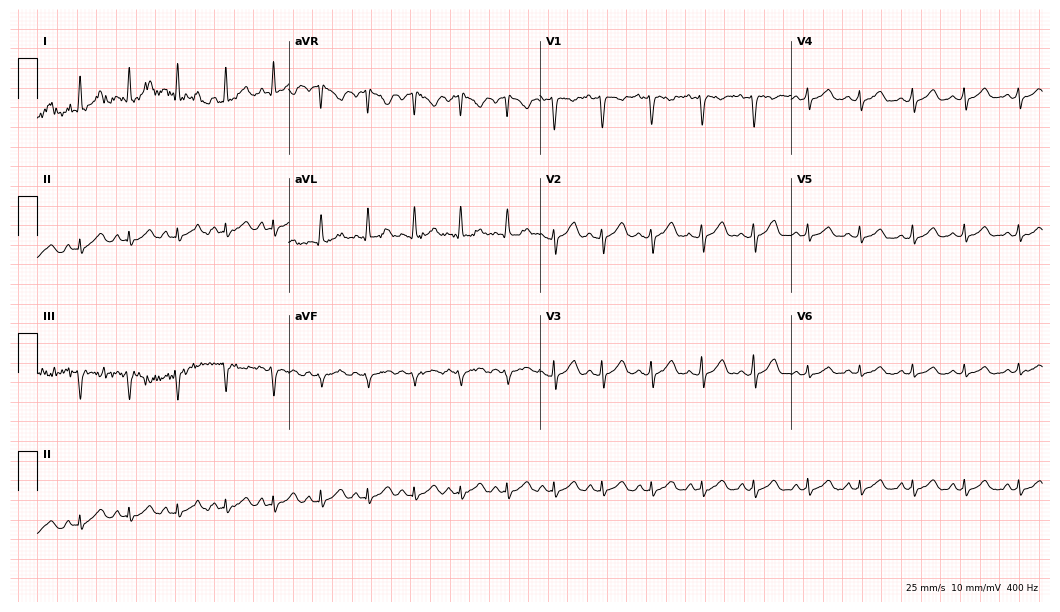
ECG (10.2-second recording at 400 Hz) — a 23-year-old female patient. Screened for six findings — first-degree AV block, right bundle branch block, left bundle branch block, sinus bradycardia, atrial fibrillation, sinus tachycardia — none is recorded. Only these six findings were labelled.